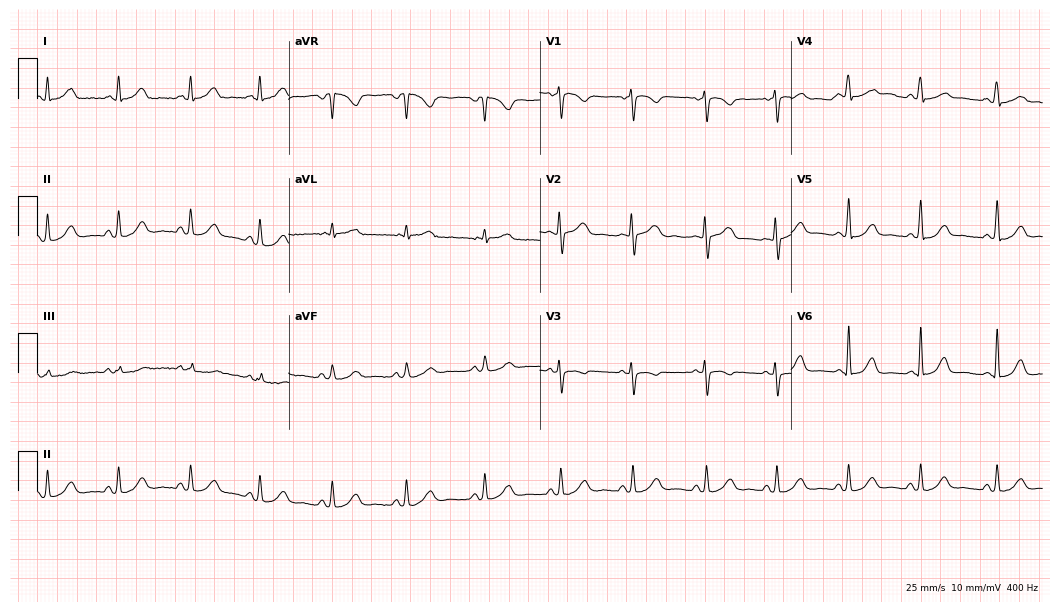
Standard 12-lead ECG recorded from a female, 36 years old. Read as a normal ECG.